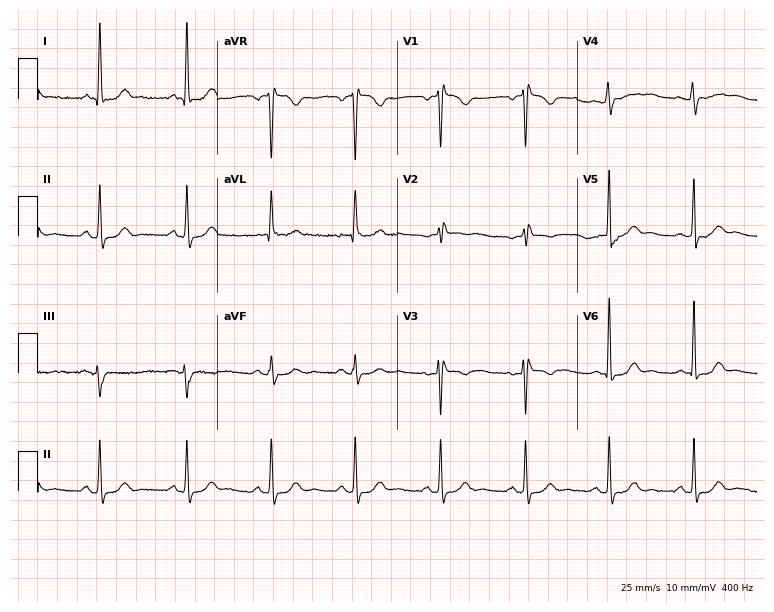
Electrocardiogram, a 56-year-old female. Of the six screened findings (first-degree AV block, right bundle branch block, left bundle branch block, sinus bradycardia, atrial fibrillation, sinus tachycardia), none is recorded. Findings outside these six are not listed.